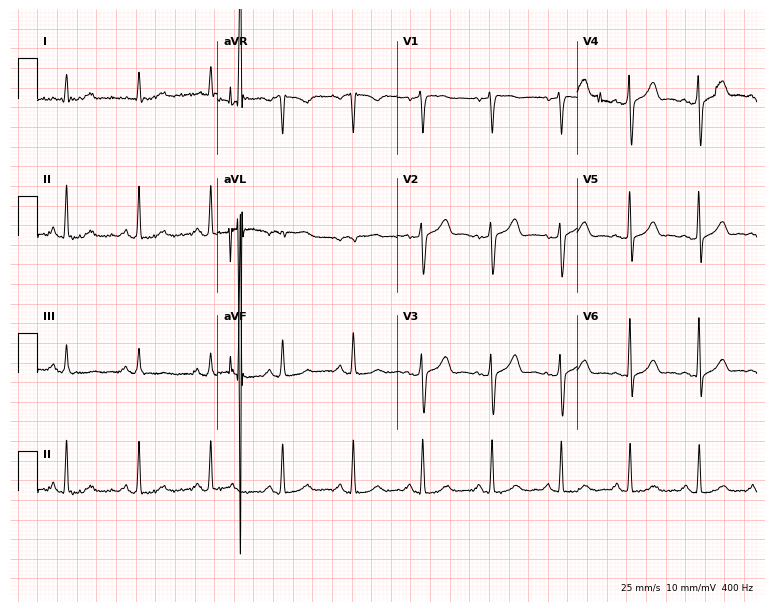
12-lead ECG (7.3-second recording at 400 Hz) from a 56-year-old man. Screened for six findings — first-degree AV block, right bundle branch block, left bundle branch block, sinus bradycardia, atrial fibrillation, sinus tachycardia — none is recorded.